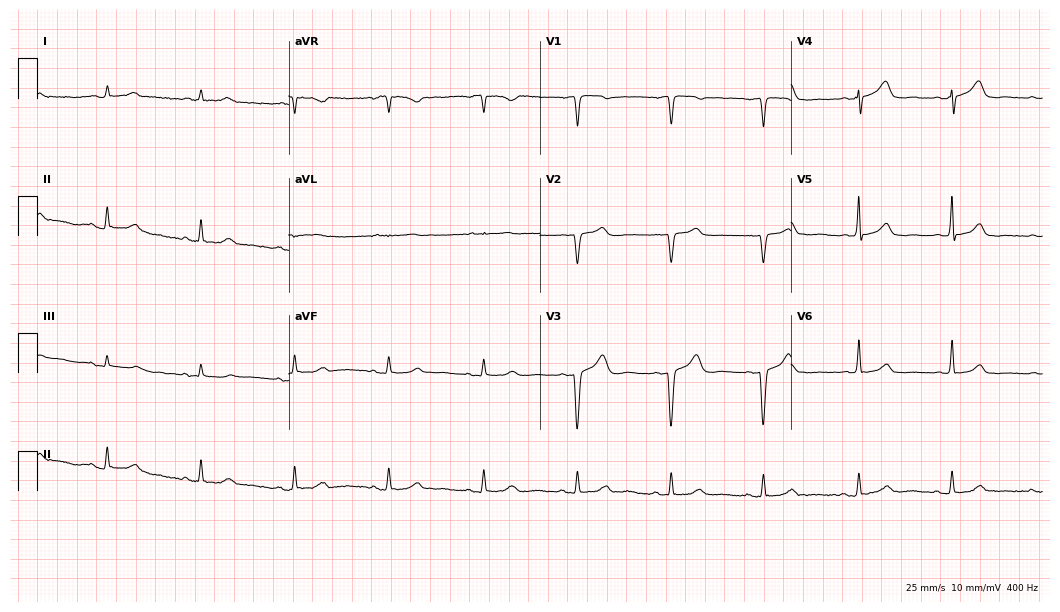
ECG (10.2-second recording at 400 Hz) — a 66-year-old male. Screened for six findings — first-degree AV block, right bundle branch block, left bundle branch block, sinus bradycardia, atrial fibrillation, sinus tachycardia — none is recorded.